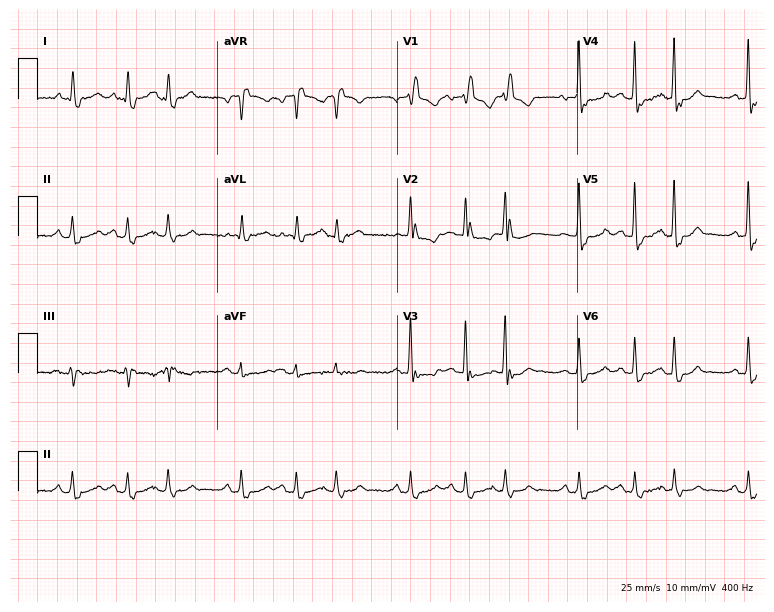
Resting 12-lead electrocardiogram. Patient: a male, 79 years old. None of these six findings is recorded: first-degree AV block, right bundle branch block, left bundle branch block, sinus bradycardia, atrial fibrillation, sinus tachycardia.